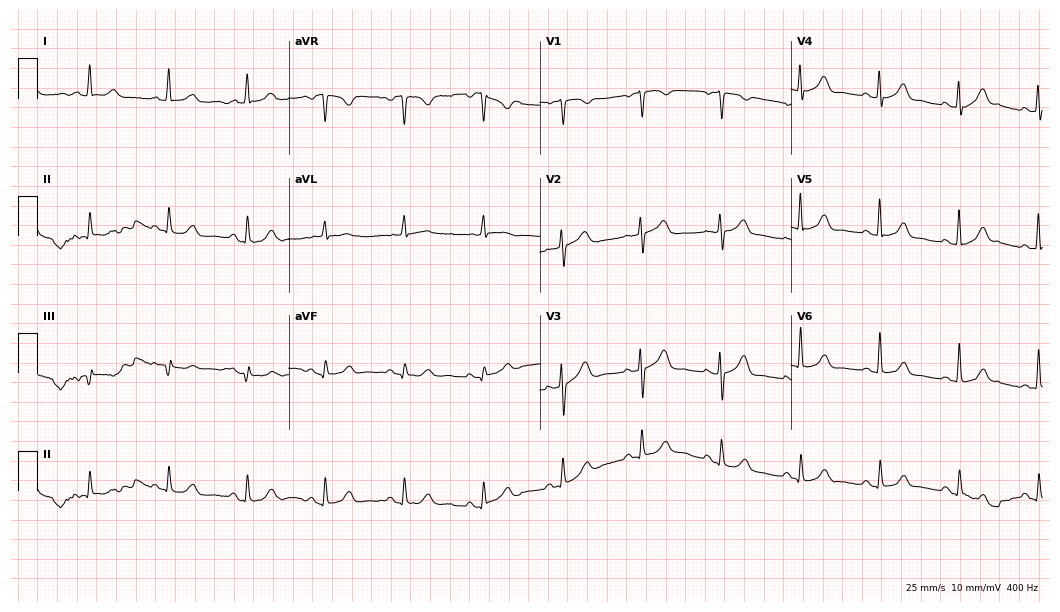
ECG (10.2-second recording at 400 Hz) — a woman, 79 years old. Labelled as a normal ECG.